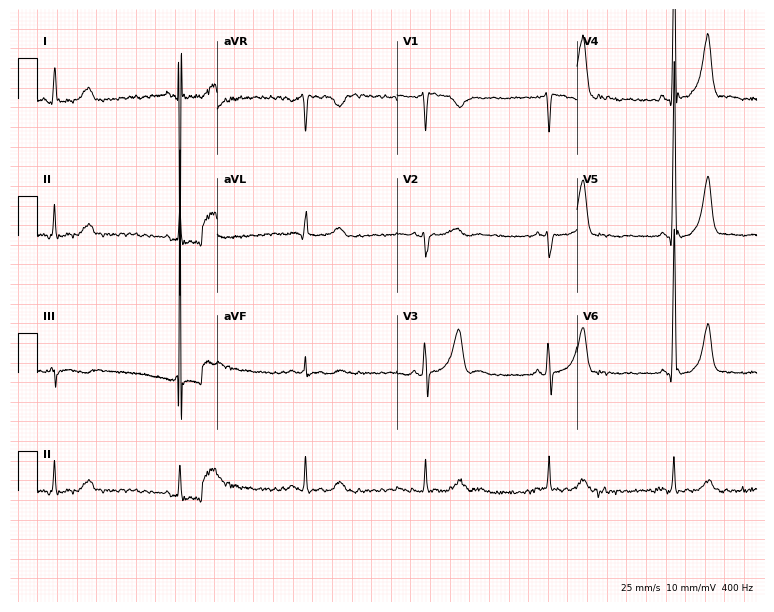
ECG — a male, 53 years old. Findings include sinus bradycardia (a sinus rate of 50 beats per minute or less).